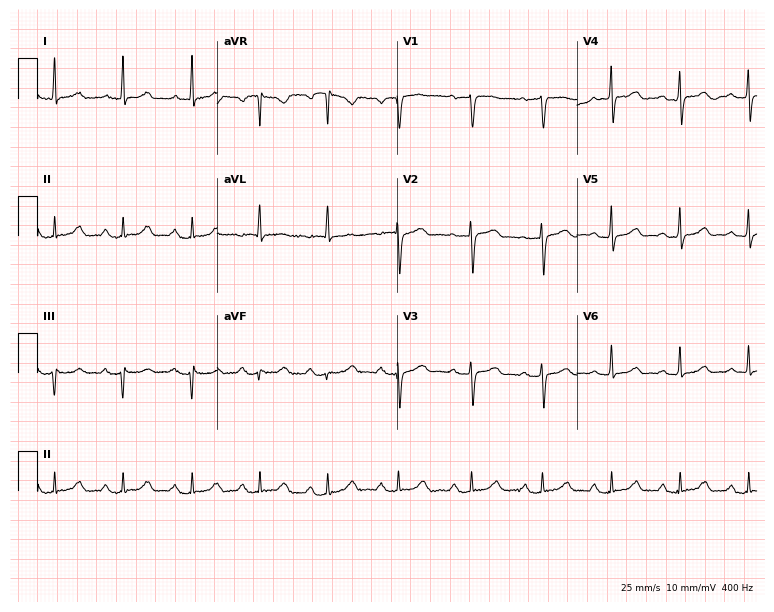
12-lead ECG from a 58-year-old female. Labelled as a normal ECG.